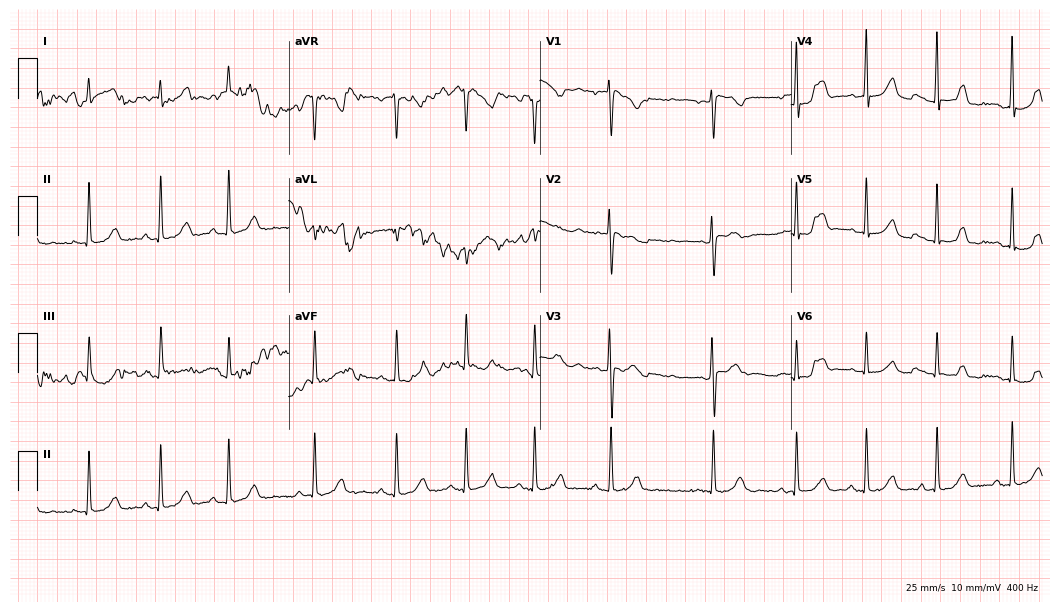
12-lead ECG from a 23-year-old female. Recorded interpretation: within normal limits.